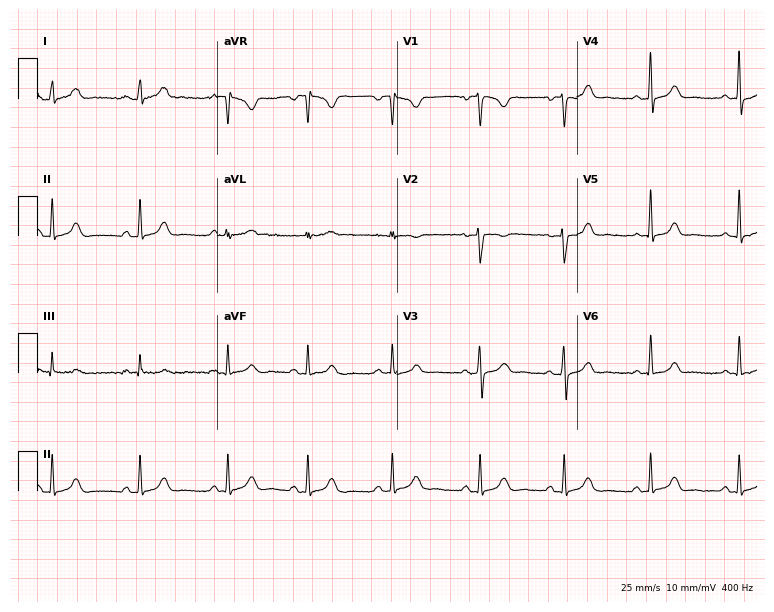
Resting 12-lead electrocardiogram (7.3-second recording at 400 Hz). Patient: a 29-year-old woman. Read as a normal ECG.